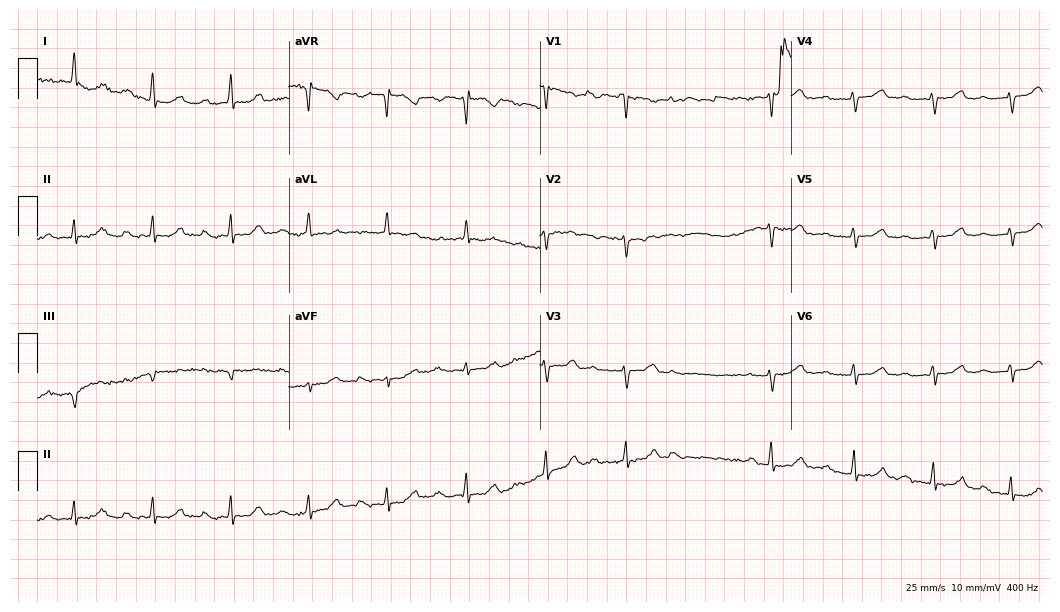
Electrocardiogram, a 59-year-old female. Interpretation includes first-degree AV block.